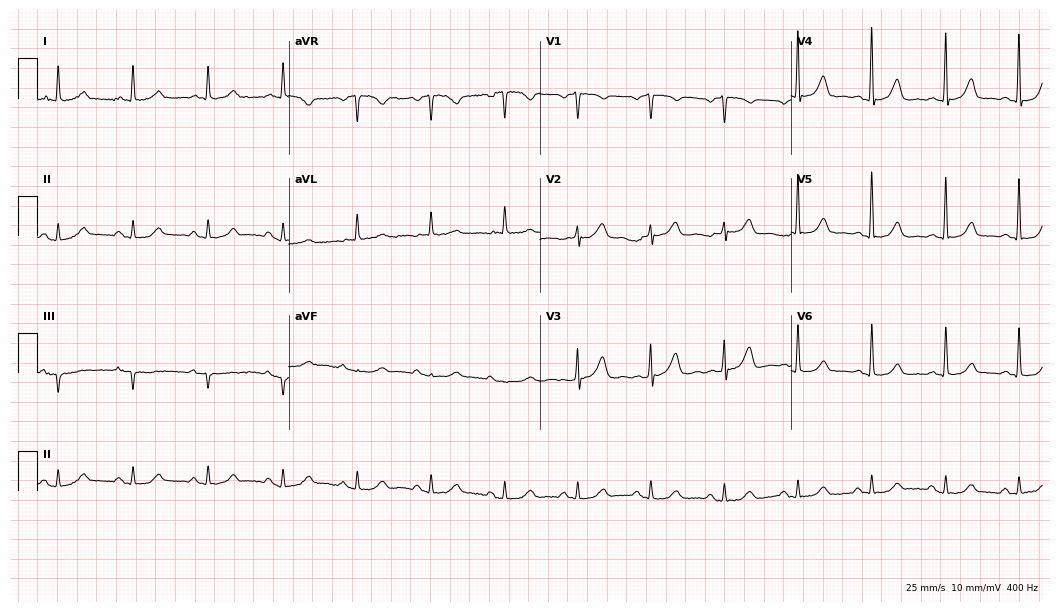
12-lead ECG (10.2-second recording at 400 Hz) from a female patient, 72 years old. Labelled as a normal ECG.